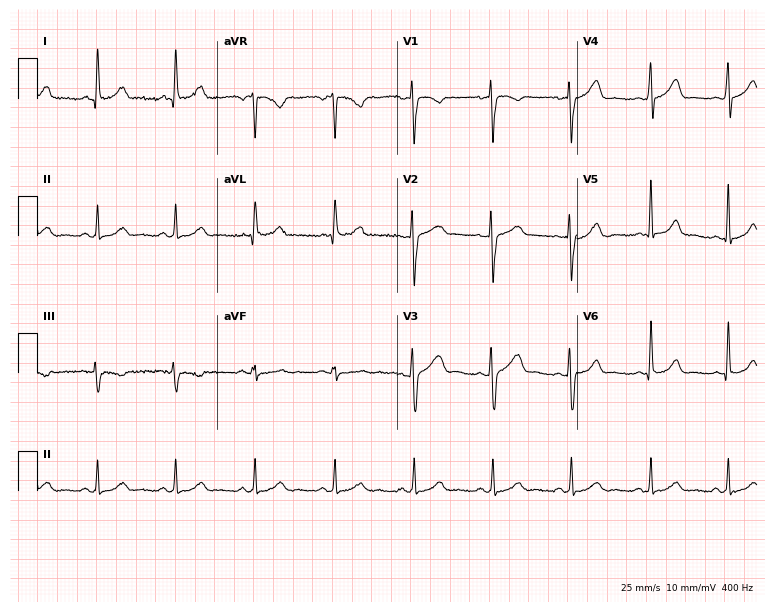
Electrocardiogram (7.3-second recording at 400 Hz), a 42-year-old female patient. Overall reading on record: normal ECG.